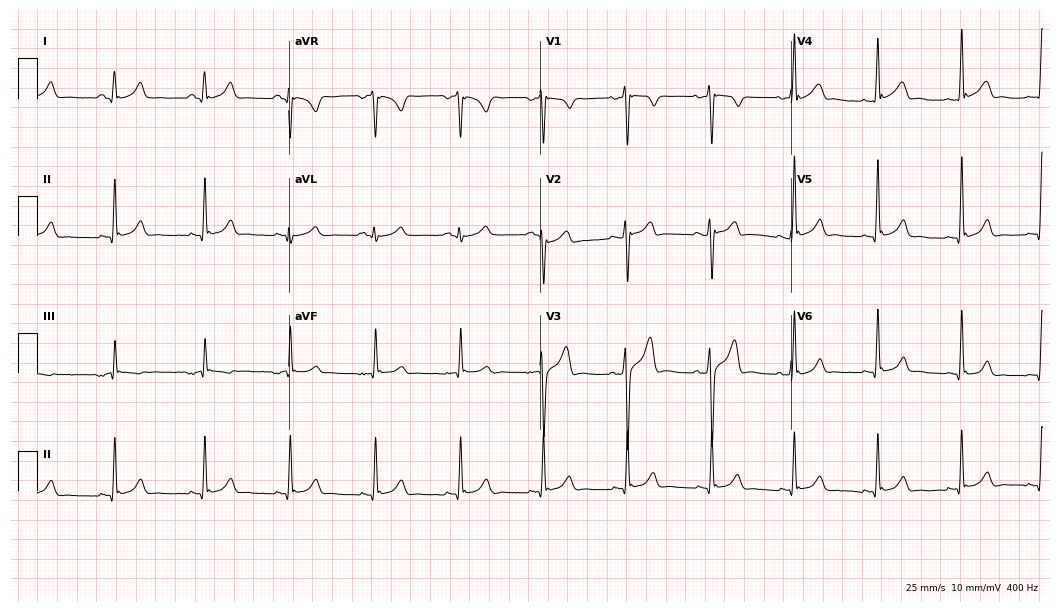
Electrocardiogram (10.2-second recording at 400 Hz), a male patient, 29 years old. Overall reading on record: normal ECG.